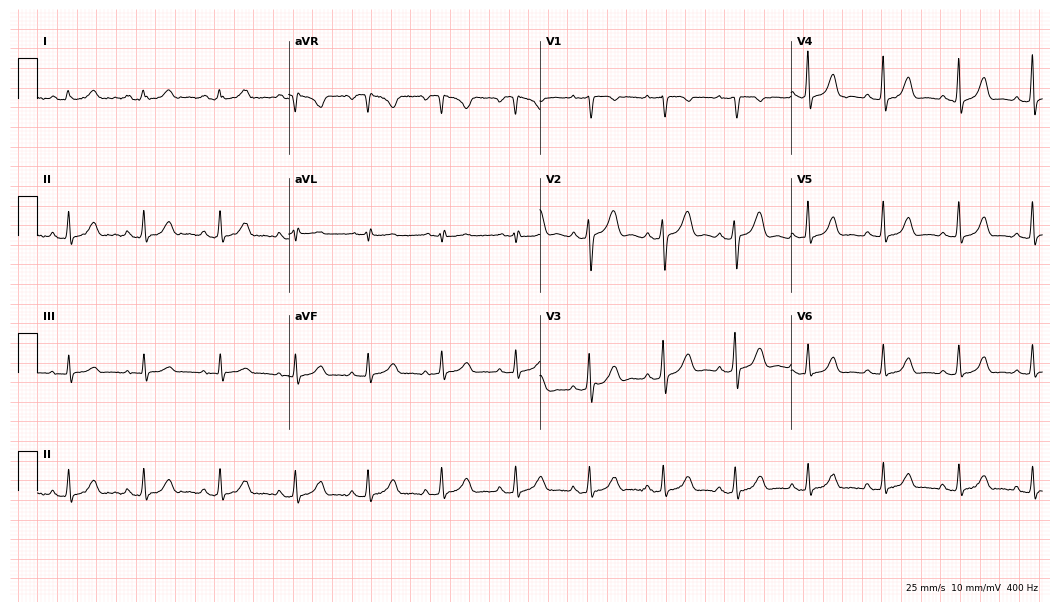
ECG — a woman, 50 years old. Labelled as a normal ECG.